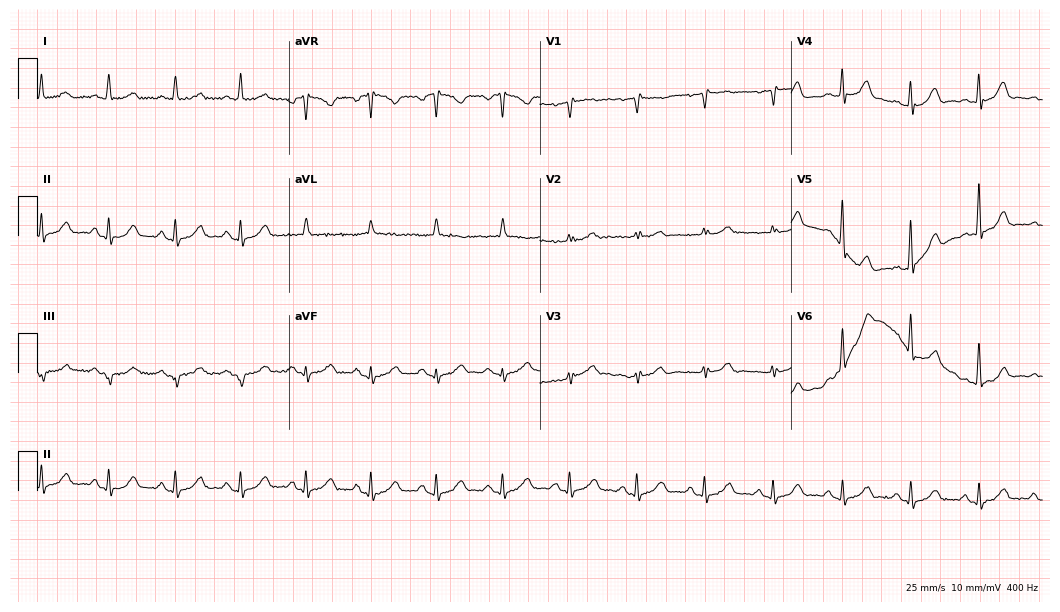
Electrocardiogram, a female patient, 66 years old. Overall reading on record: normal ECG.